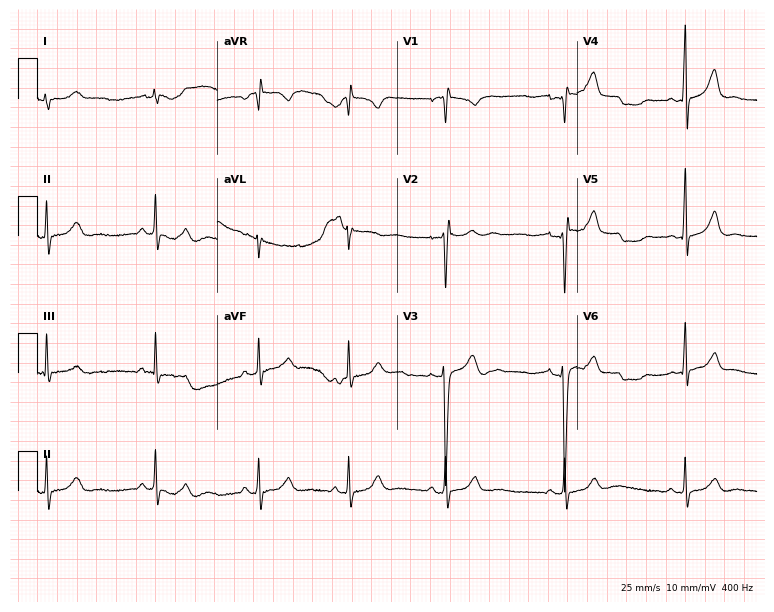
12-lead ECG from a man, 18 years old. Labelled as a normal ECG.